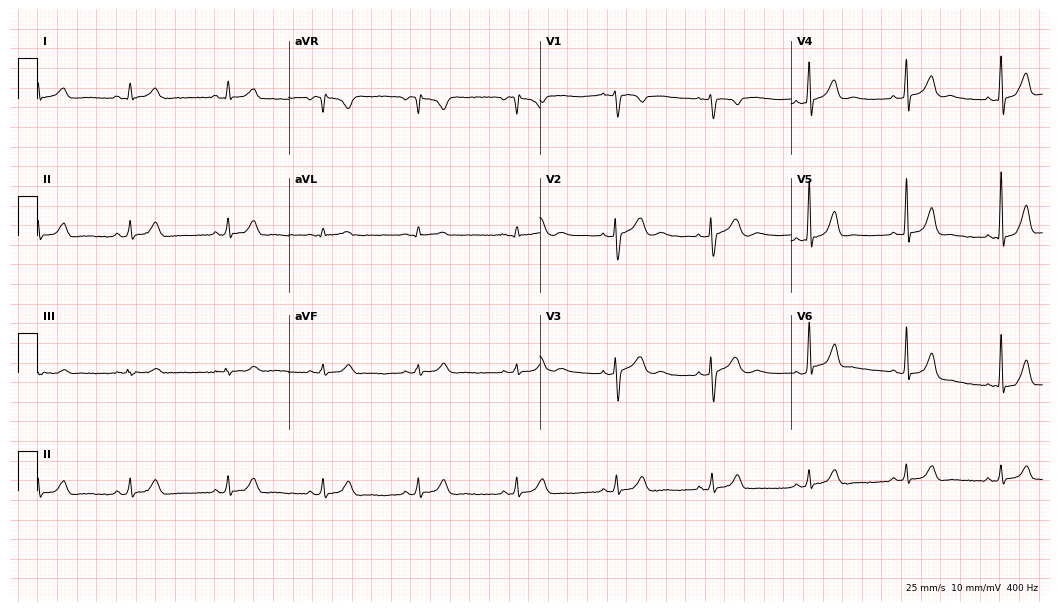
Standard 12-lead ECG recorded from a 27-year-old female patient. None of these six findings is recorded: first-degree AV block, right bundle branch block, left bundle branch block, sinus bradycardia, atrial fibrillation, sinus tachycardia.